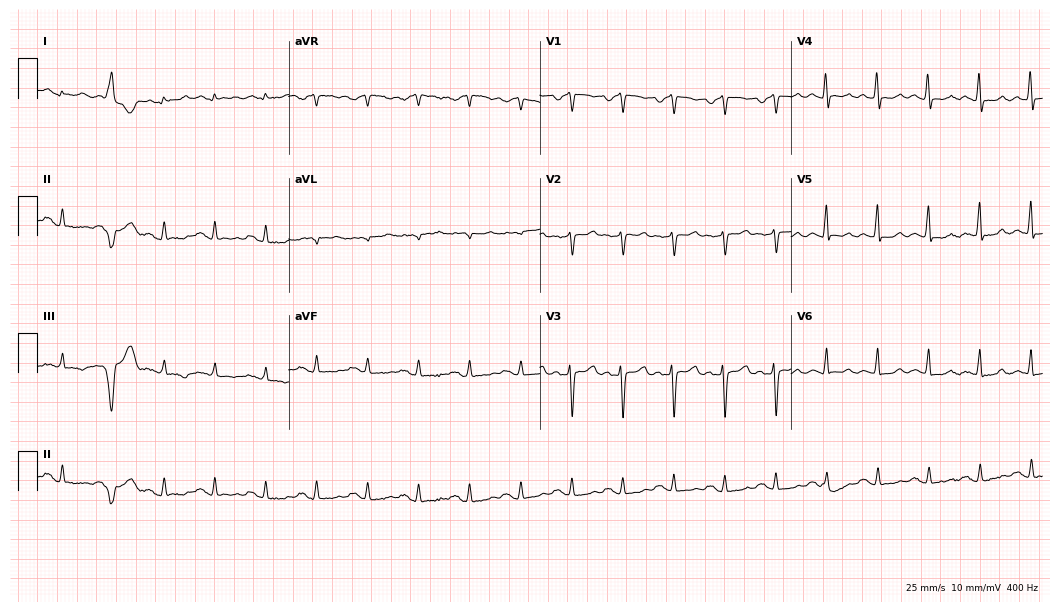
Electrocardiogram, a female patient, 42 years old. Interpretation includes sinus tachycardia (a sinus rate of 100 beats per minute or more).